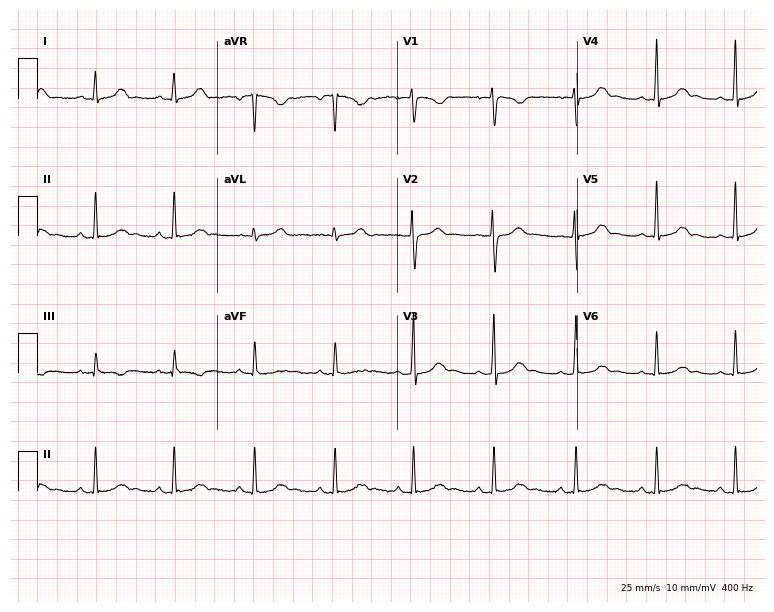
Standard 12-lead ECG recorded from a woman, 21 years old (7.3-second recording at 400 Hz). Read as a normal ECG.